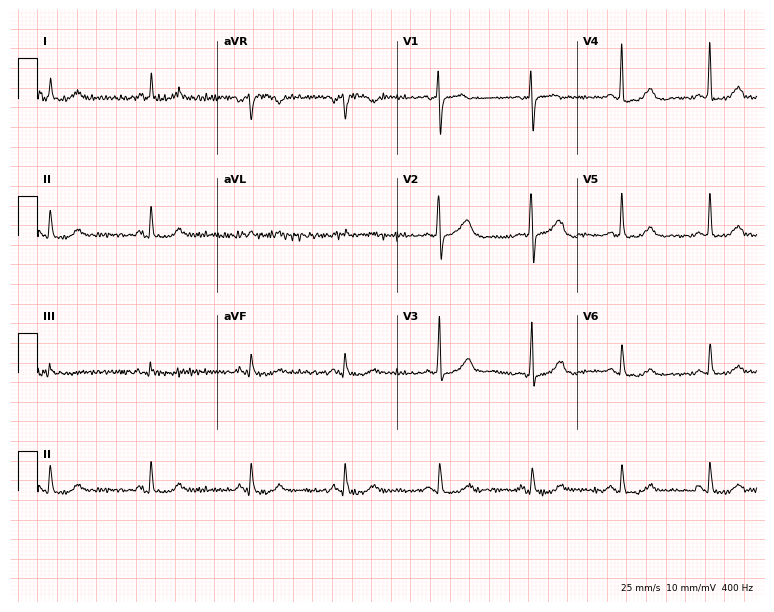
12-lead ECG from a female, 73 years old (7.3-second recording at 400 Hz). Recorded interpretation: within normal limits.